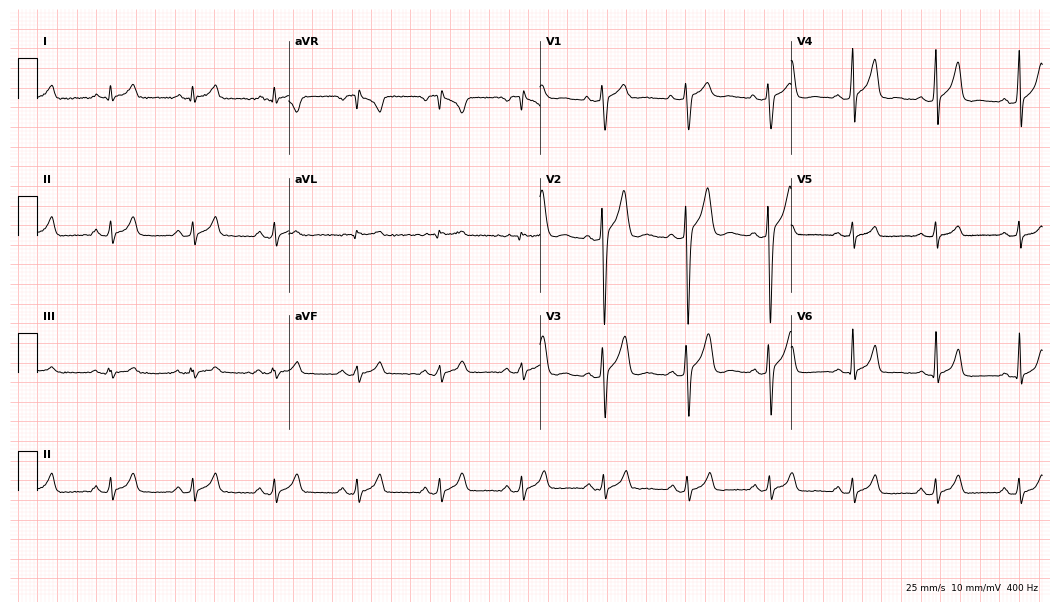
ECG (10.2-second recording at 400 Hz) — a male, 19 years old. Labelled as a normal ECG.